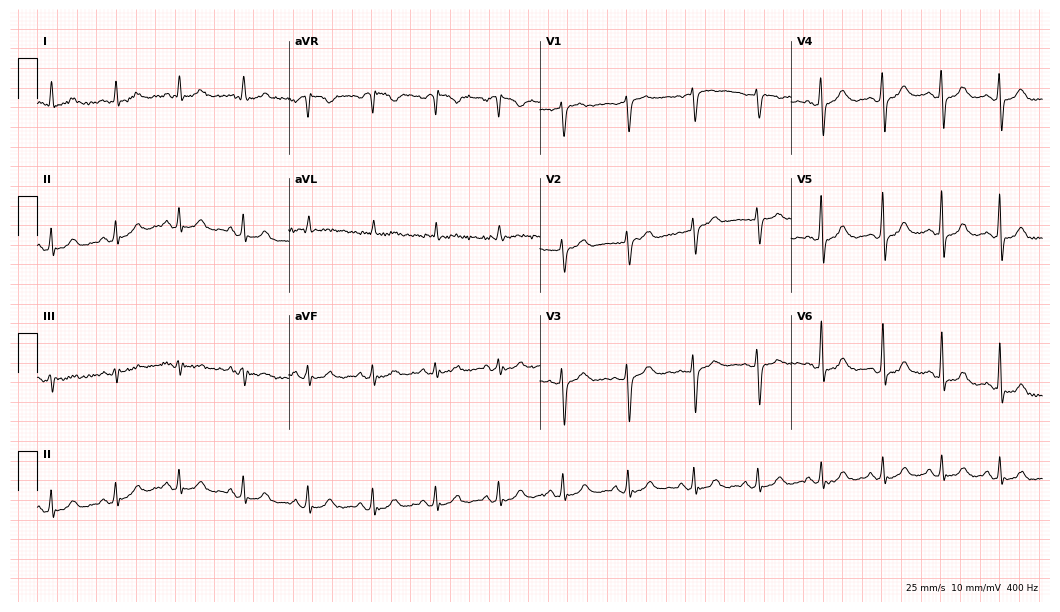
12-lead ECG (10.2-second recording at 400 Hz) from a 59-year-old female. Labelled as a normal ECG.